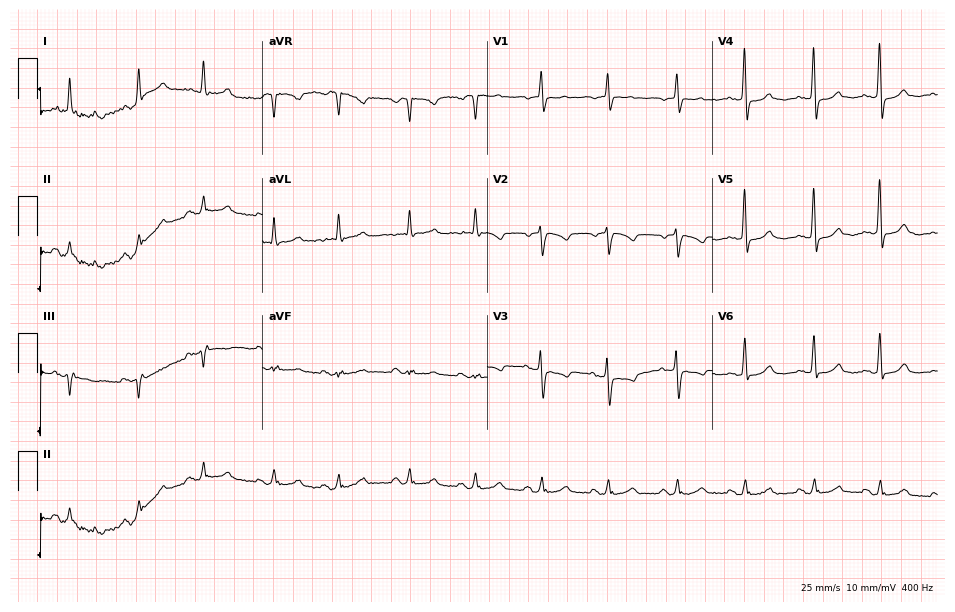
12-lead ECG from an 81-year-old female patient. Labelled as a normal ECG.